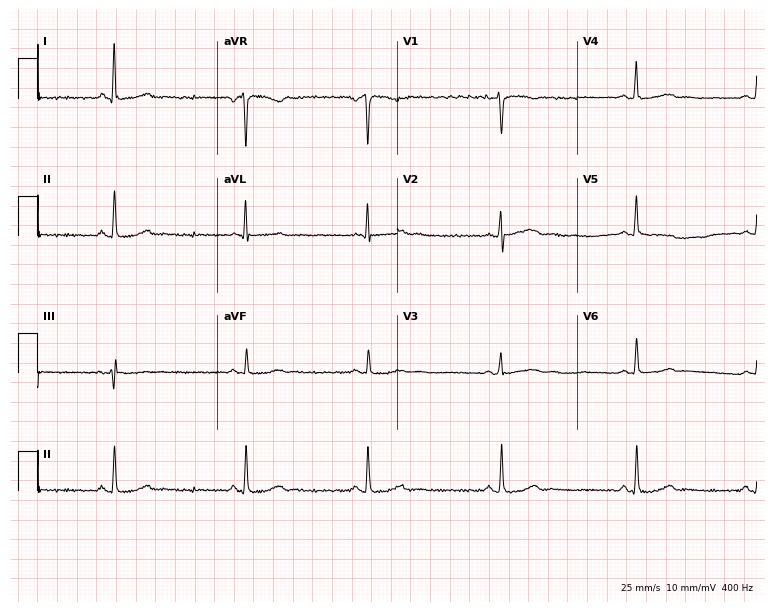
Electrocardiogram, a 41-year-old woman. Interpretation includes sinus bradycardia (a sinus rate of 50 beats per minute or less).